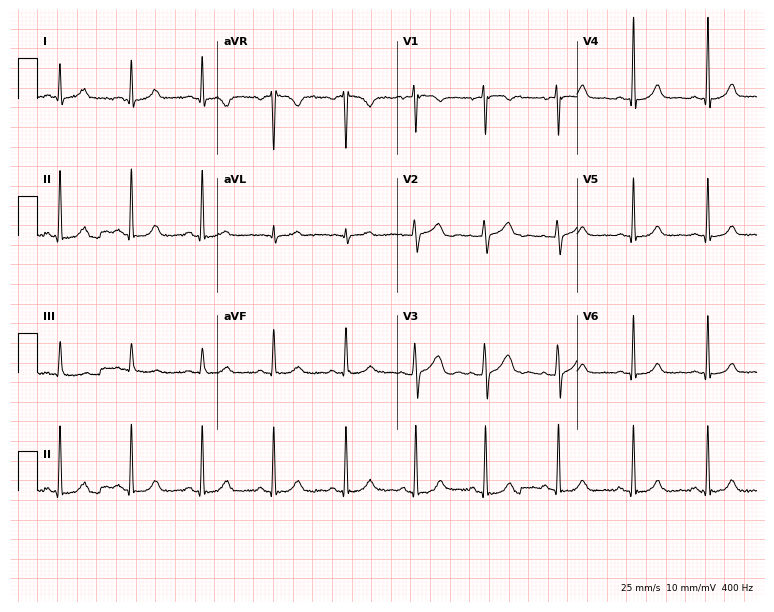
ECG — a female, 31 years old. Screened for six findings — first-degree AV block, right bundle branch block, left bundle branch block, sinus bradycardia, atrial fibrillation, sinus tachycardia — none is recorded. Only these six findings were labelled.